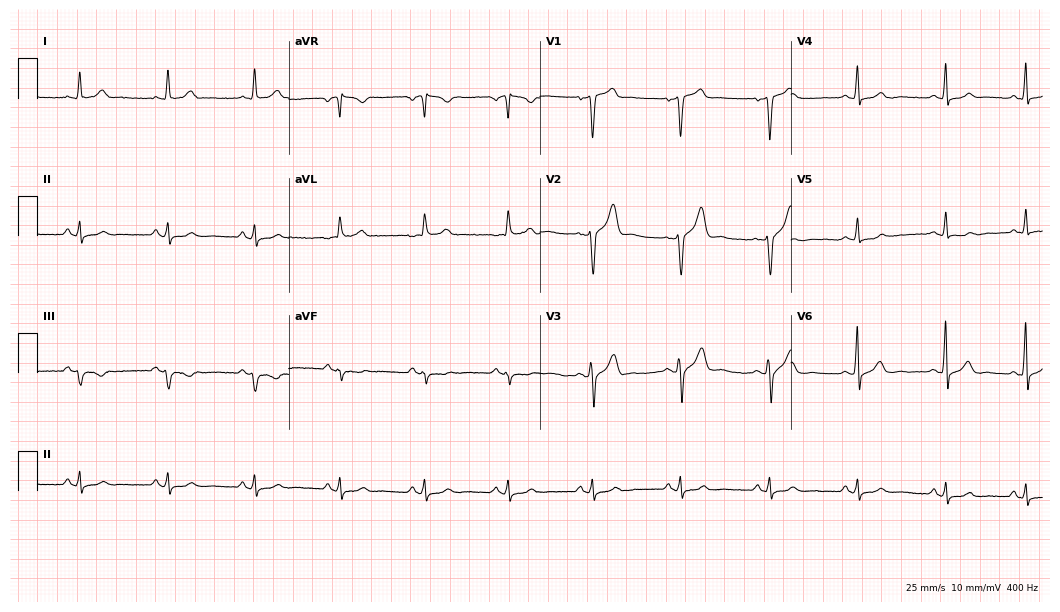
ECG (10.2-second recording at 400 Hz) — a 61-year-old male. Labelled as a normal ECG.